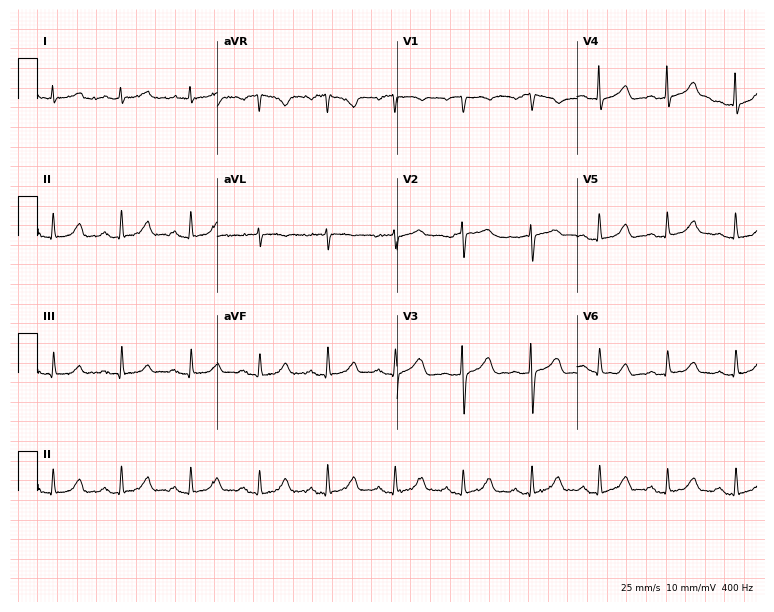
12-lead ECG from a male, 82 years old (7.3-second recording at 400 Hz). Recorded interpretation: within normal limits.